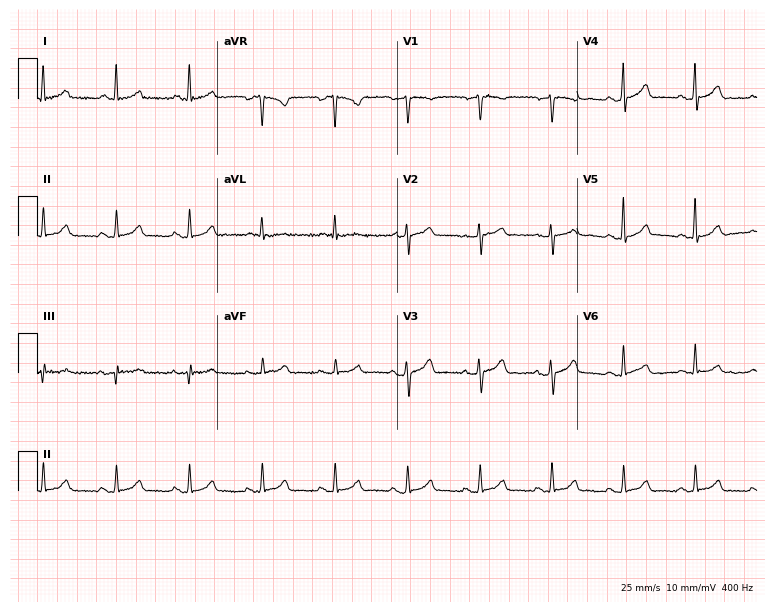
Electrocardiogram (7.3-second recording at 400 Hz), a 63-year-old male patient. Overall reading on record: normal ECG.